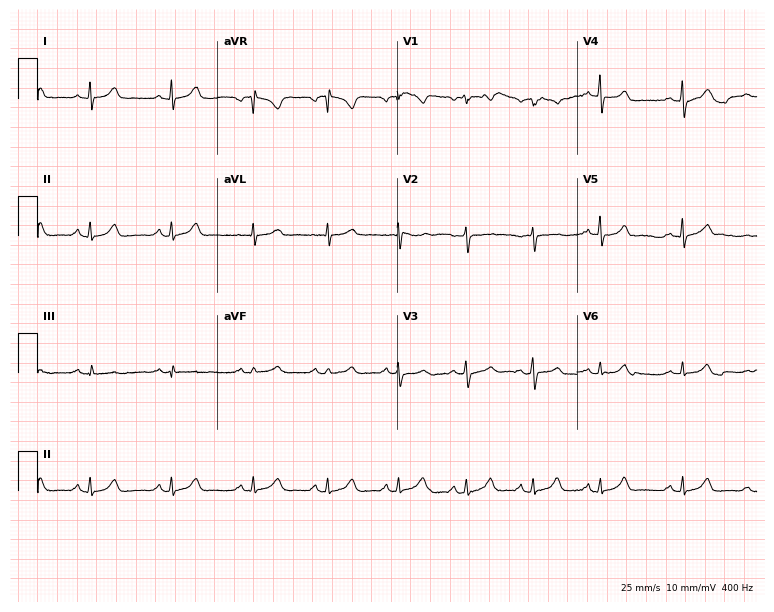
Electrocardiogram, a 39-year-old female. Overall reading on record: normal ECG.